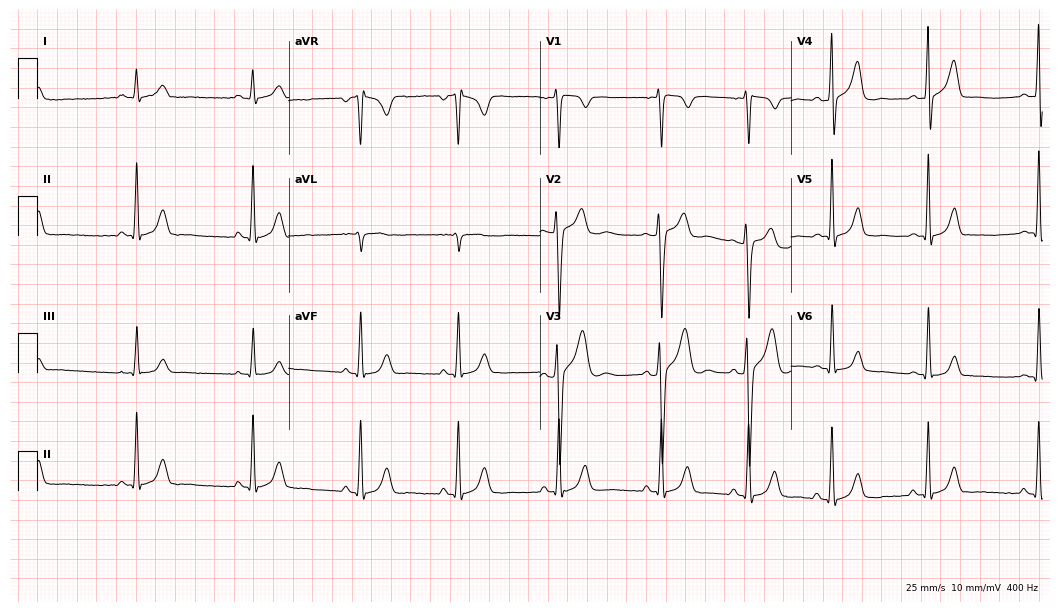
12-lead ECG from a 24-year-old male patient. Recorded interpretation: within normal limits.